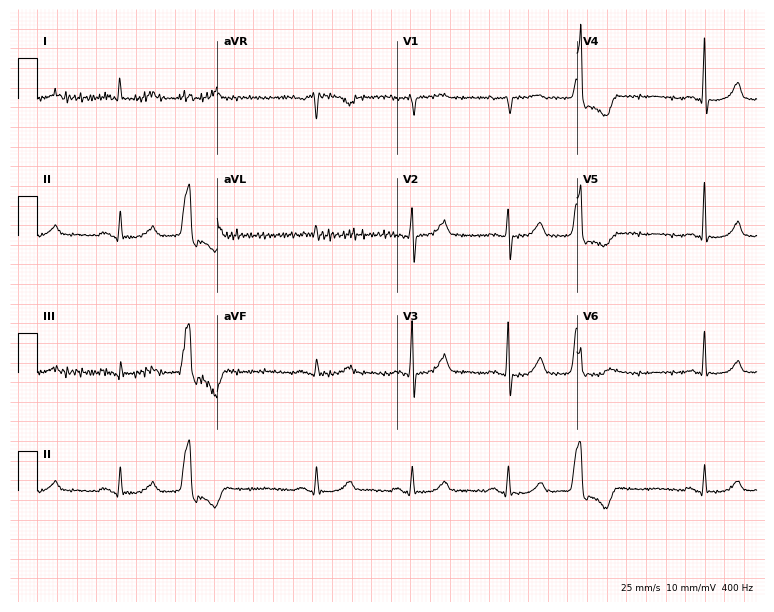
Resting 12-lead electrocardiogram (7.3-second recording at 400 Hz). Patient: a 68-year-old man. None of these six findings is recorded: first-degree AV block, right bundle branch block, left bundle branch block, sinus bradycardia, atrial fibrillation, sinus tachycardia. Findings outside these six are not listed.